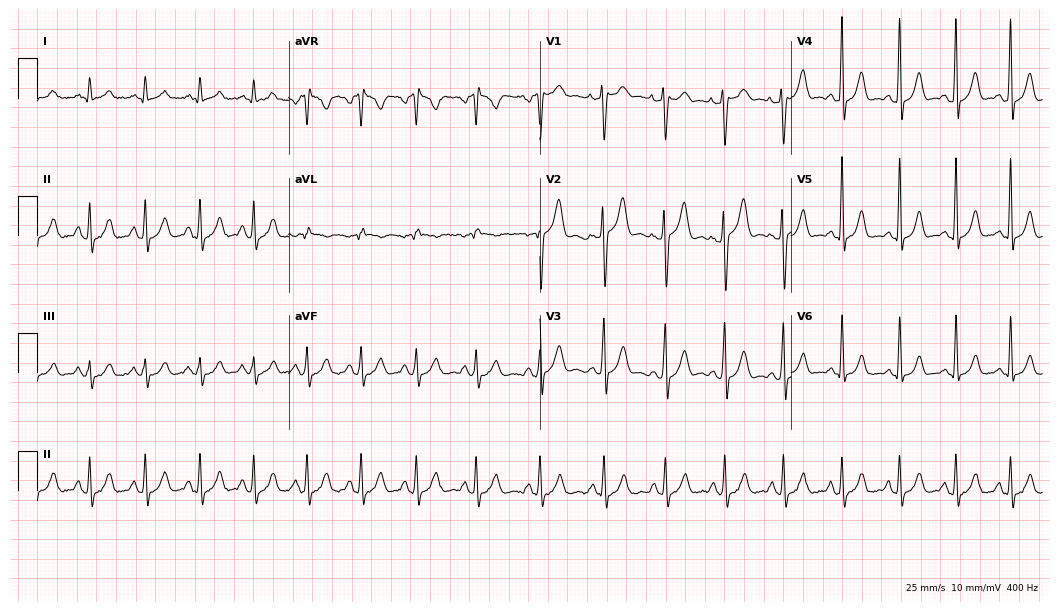
Standard 12-lead ECG recorded from a male patient, 26 years old (10.2-second recording at 400 Hz). The tracing shows sinus tachycardia (a sinus rate of 100 beats per minute or more).